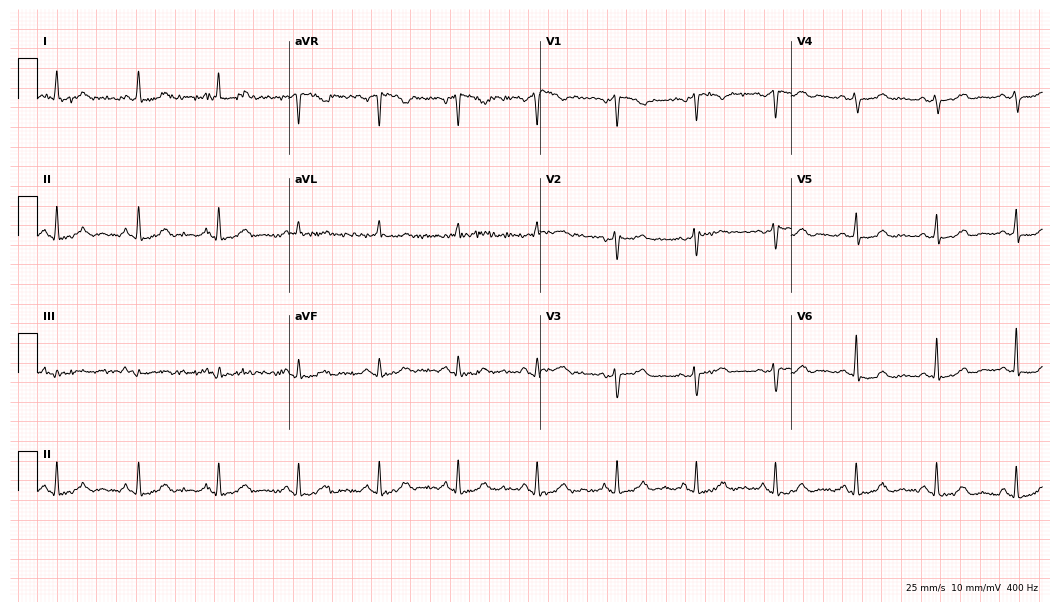
12-lead ECG from a woman, 51 years old (10.2-second recording at 400 Hz). No first-degree AV block, right bundle branch block (RBBB), left bundle branch block (LBBB), sinus bradycardia, atrial fibrillation (AF) or sinus tachycardia recorded for this tracing.